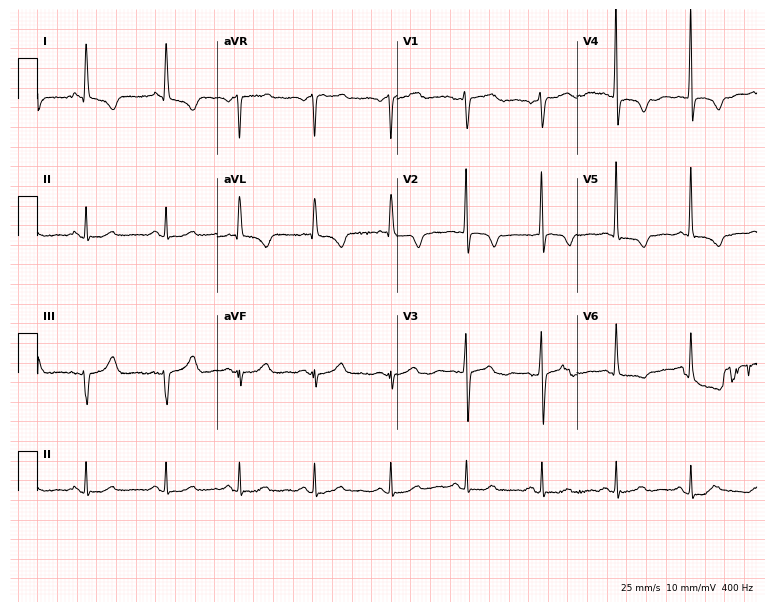
12-lead ECG from a woman, 68 years old. No first-degree AV block, right bundle branch block, left bundle branch block, sinus bradycardia, atrial fibrillation or sinus tachycardia recorded for this tracing. Other findings, if any, are not listed.